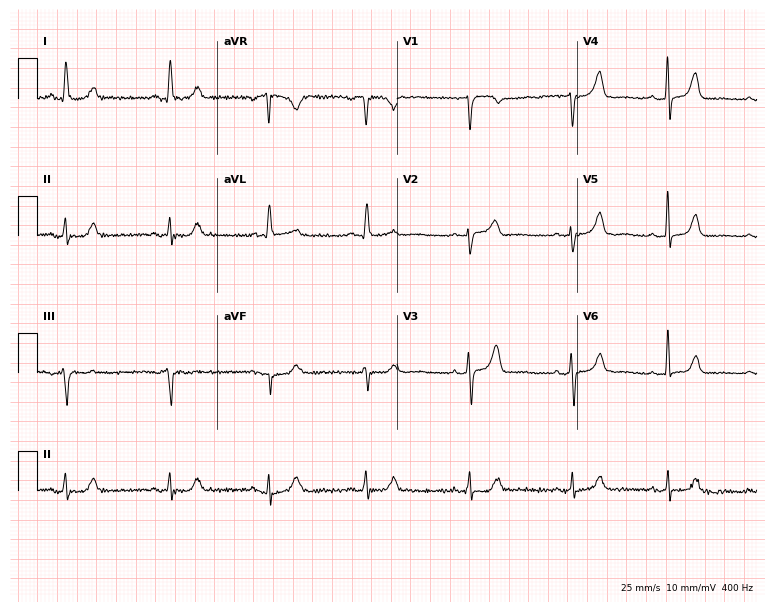
12-lead ECG from a 70-year-old woman. No first-degree AV block, right bundle branch block (RBBB), left bundle branch block (LBBB), sinus bradycardia, atrial fibrillation (AF) or sinus tachycardia recorded for this tracing.